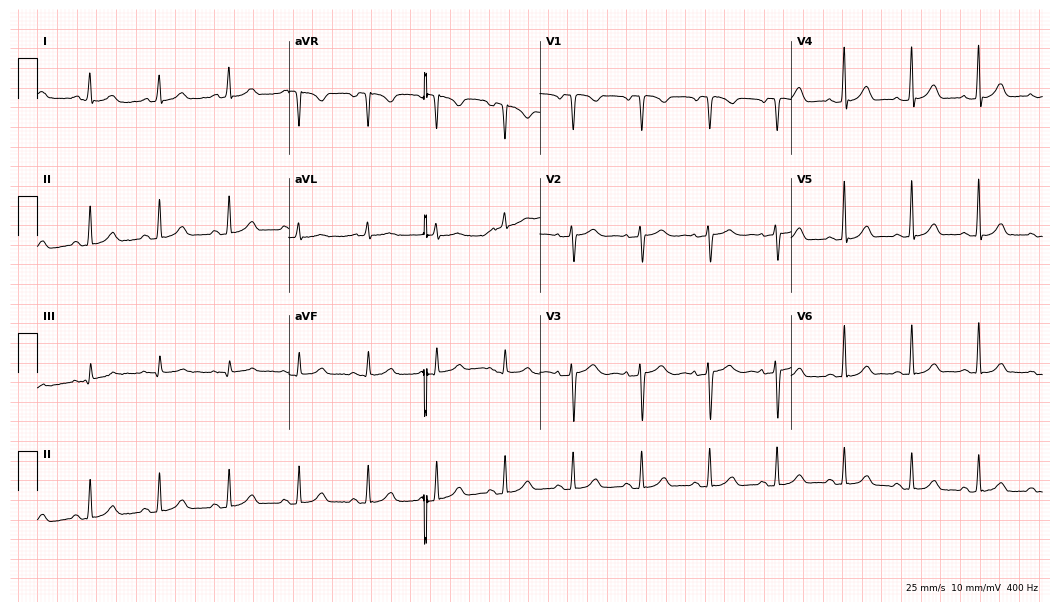
12-lead ECG from a woman, 41 years old. Labelled as a normal ECG.